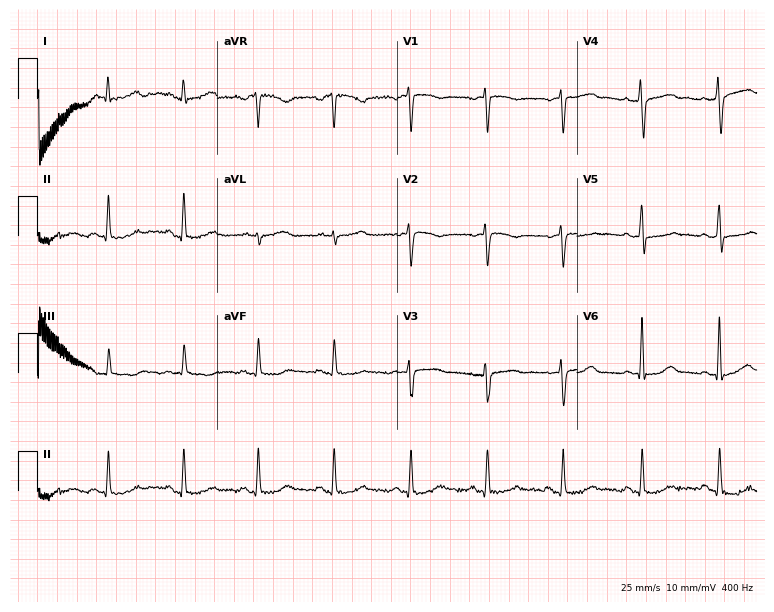
Resting 12-lead electrocardiogram (7.3-second recording at 400 Hz). Patient: a 42-year-old woman. None of these six findings is recorded: first-degree AV block, right bundle branch block, left bundle branch block, sinus bradycardia, atrial fibrillation, sinus tachycardia. Only these six findings were labelled.